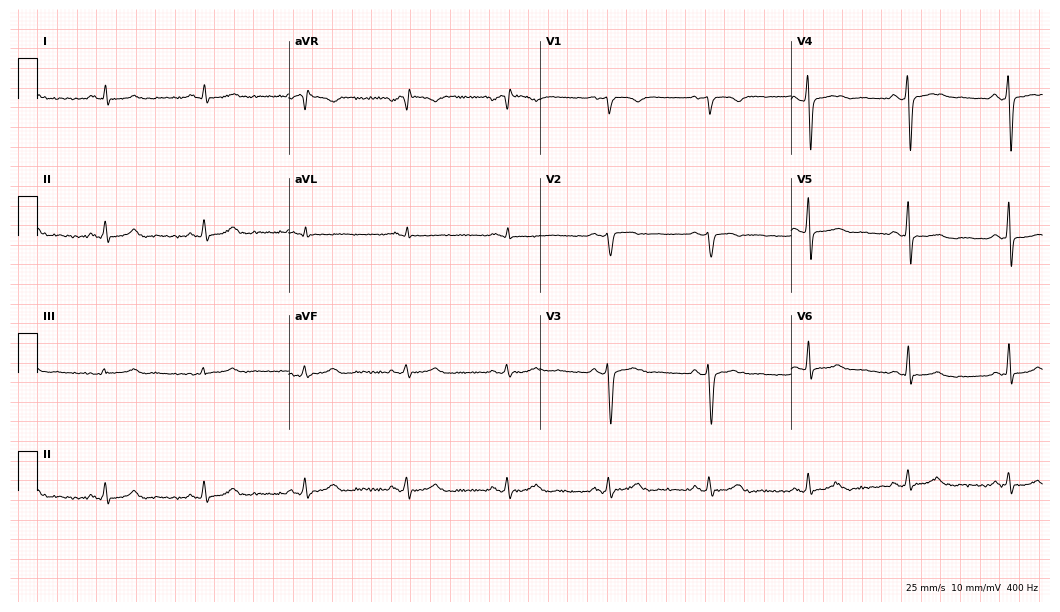
Standard 12-lead ECG recorded from a 58-year-old male patient. Read as a normal ECG.